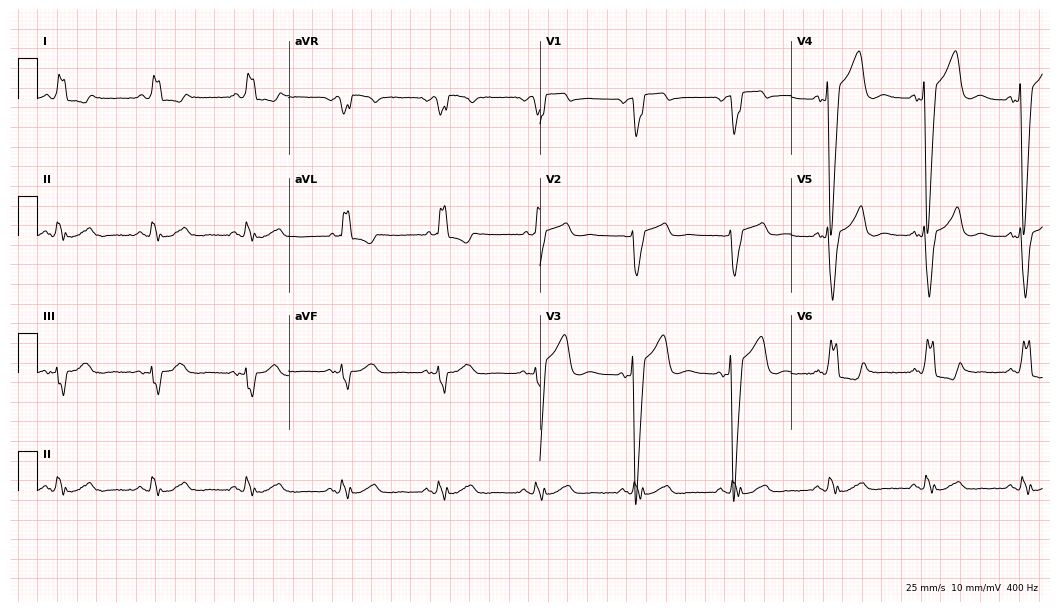
12-lead ECG (10.2-second recording at 400 Hz) from a 73-year-old male. Findings include left bundle branch block.